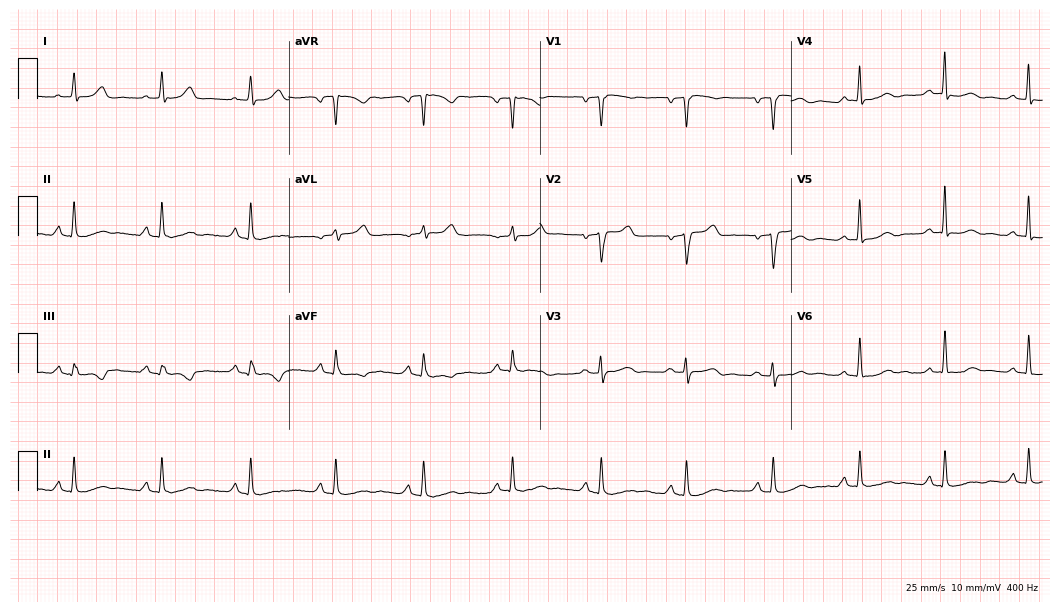
Standard 12-lead ECG recorded from a female, 42 years old. Read as a normal ECG.